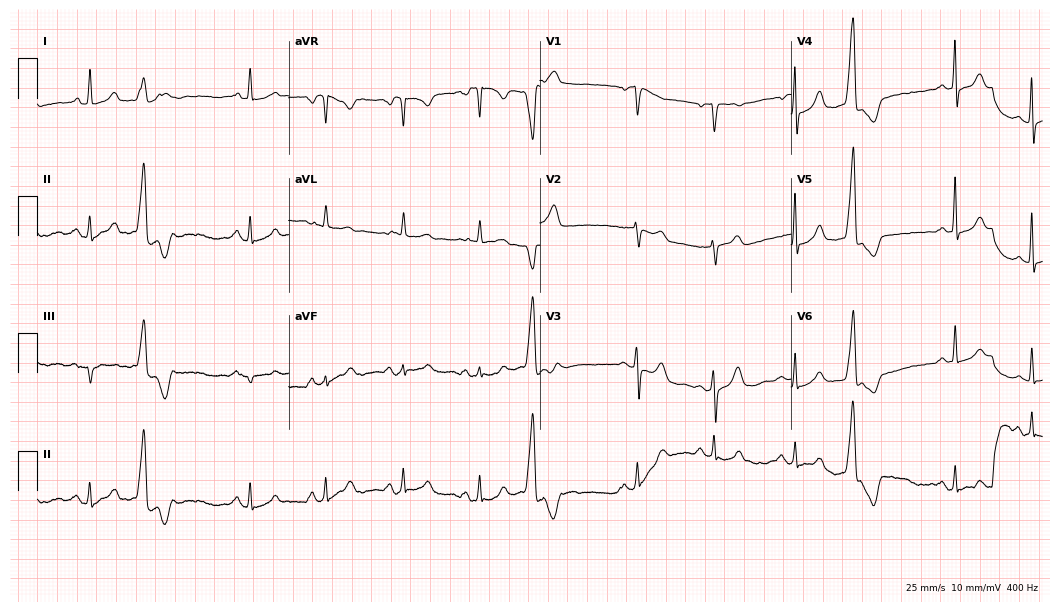
12-lead ECG (10.2-second recording at 400 Hz) from a female patient, 75 years old. Screened for six findings — first-degree AV block, right bundle branch block (RBBB), left bundle branch block (LBBB), sinus bradycardia, atrial fibrillation (AF), sinus tachycardia — none is recorded.